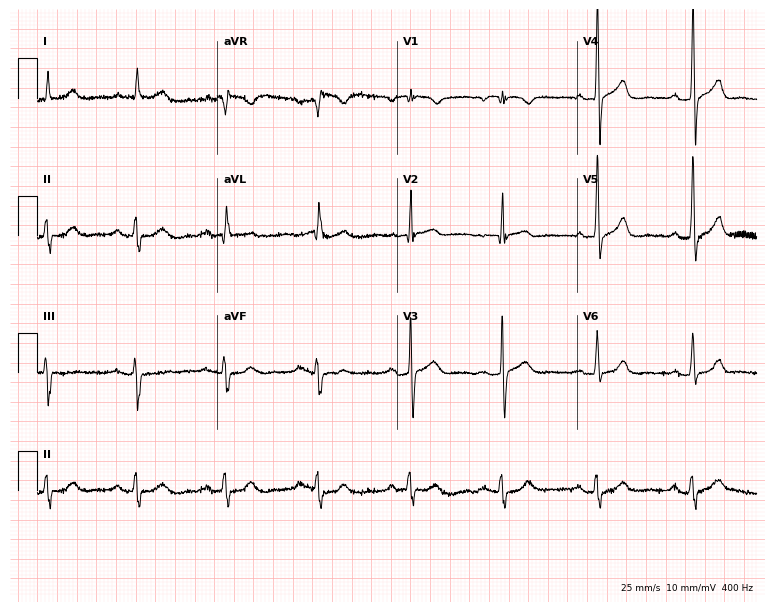
ECG (7.3-second recording at 400 Hz) — a 78-year-old male patient. Labelled as a normal ECG.